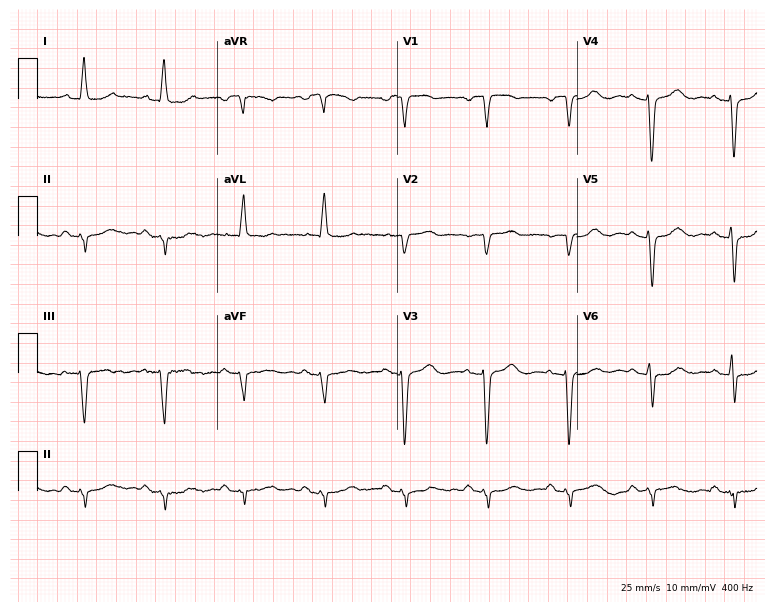
Resting 12-lead electrocardiogram (7.3-second recording at 400 Hz). Patient: a woman, 72 years old. None of these six findings is recorded: first-degree AV block, right bundle branch block, left bundle branch block, sinus bradycardia, atrial fibrillation, sinus tachycardia.